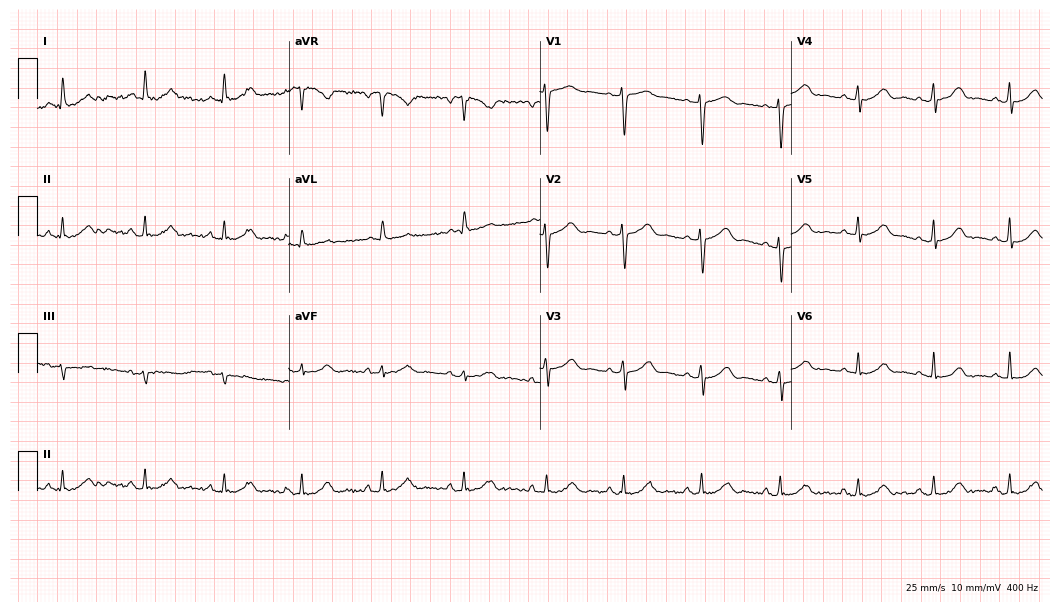
12-lead ECG (10.2-second recording at 400 Hz) from a female patient, 59 years old. Labelled as a normal ECG.